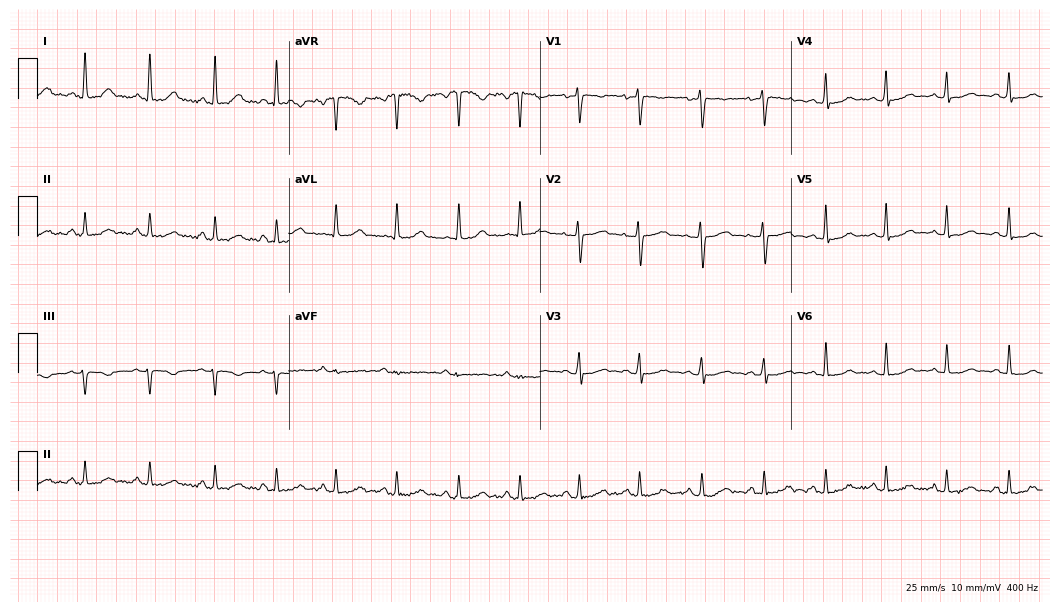
ECG (10.2-second recording at 400 Hz) — a woman, 29 years old. Labelled as a normal ECG.